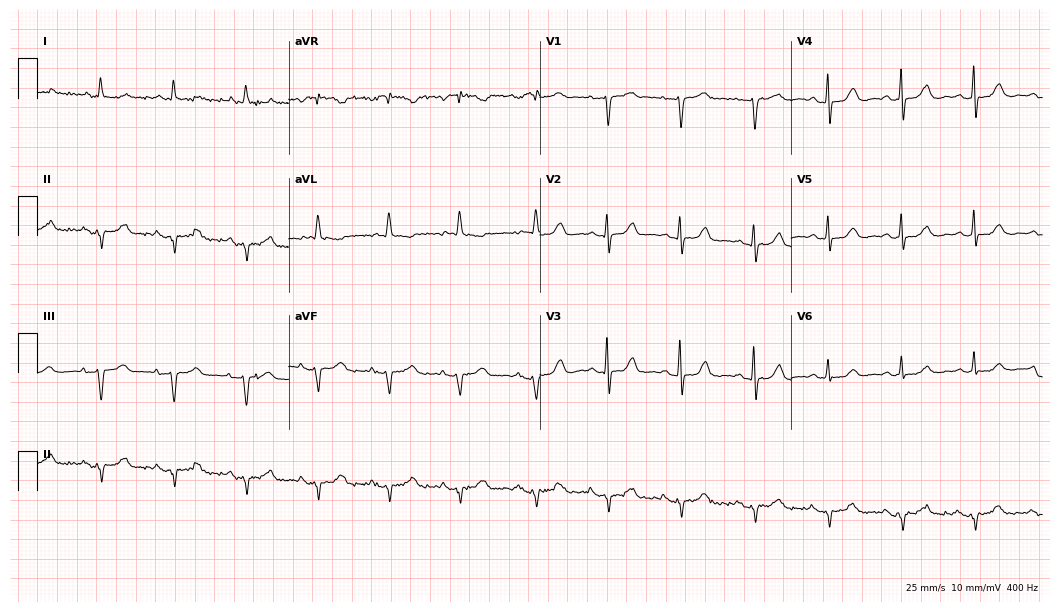
Resting 12-lead electrocardiogram. Patient: an 82-year-old woman. None of these six findings is recorded: first-degree AV block, right bundle branch block (RBBB), left bundle branch block (LBBB), sinus bradycardia, atrial fibrillation (AF), sinus tachycardia. Only these six findings were labelled.